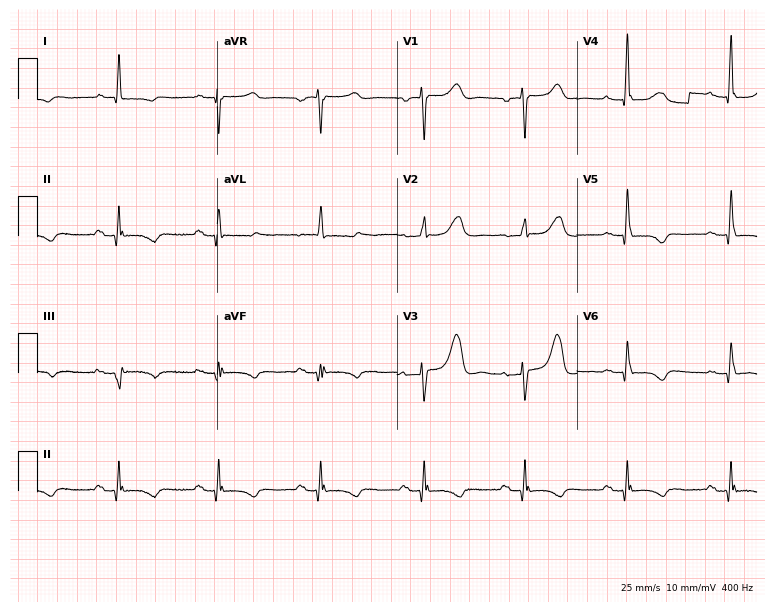
Standard 12-lead ECG recorded from a woman, 82 years old (7.3-second recording at 400 Hz). None of these six findings is recorded: first-degree AV block, right bundle branch block, left bundle branch block, sinus bradycardia, atrial fibrillation, sinus tachycardia. Other findings, if any, are not listed.